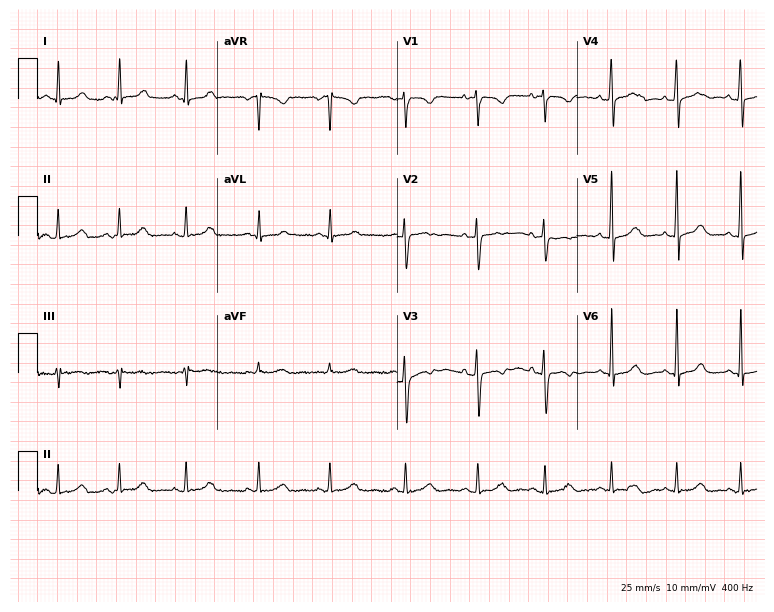
Standard 12-lead ECG recorded from a female, 25 years old (7.3-second recording at 400 Hz). None of these six findings is recorded: first-degree AV block, right bundle branch block, left bundle branch block, sinus bradycardia, atrial fibrillation, sinus tachycardia. Other findings, if any, are not listed.